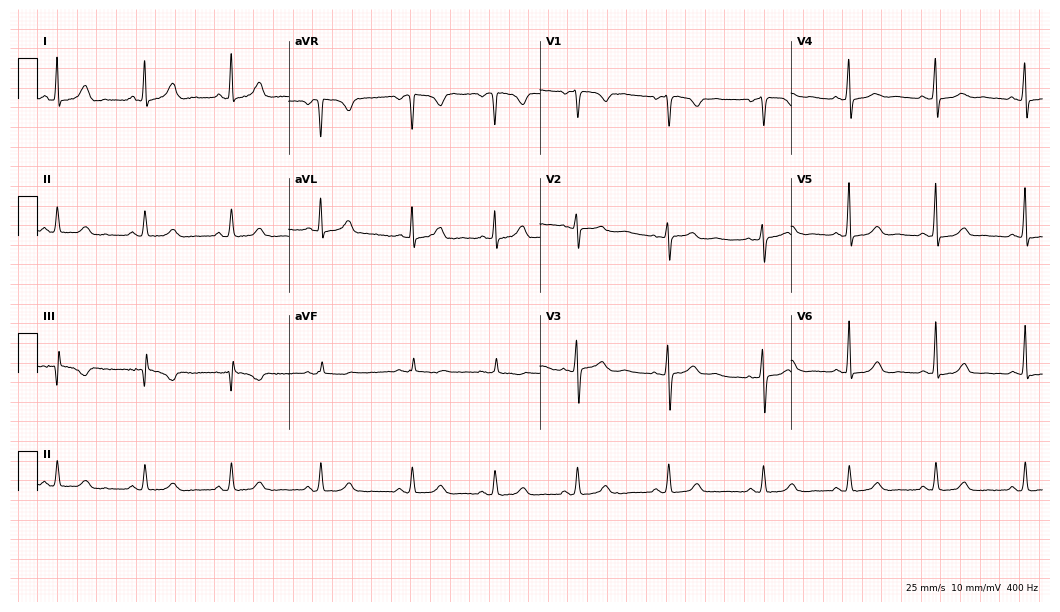
Resting 12-lead electrocardiogram. Patient: a 32-year-old female. Read as a normal ECG.